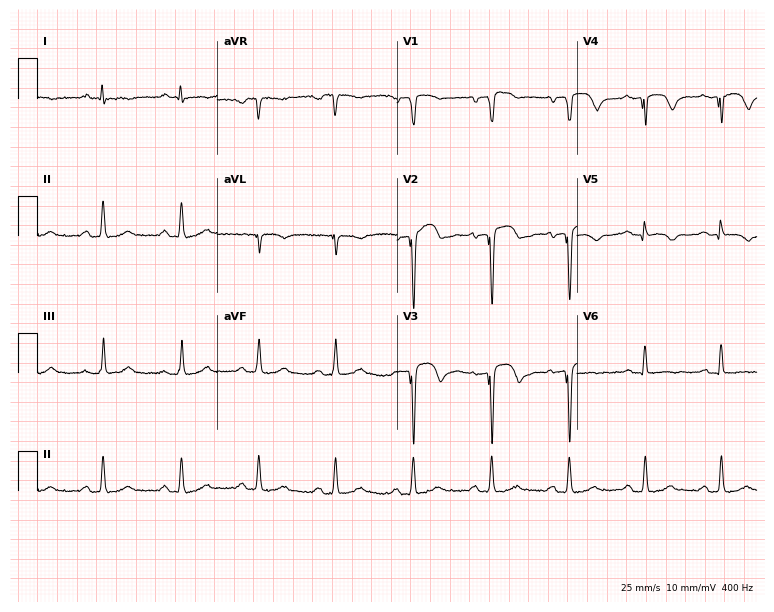
ECG (7.3-second recording at 400 Hz) — a 70-year-old male patient. Screened for six findings — first-degree AV block, right bundle branch block (RBBB), left bundle branch block (LBBB), sinus bradycardia, atrial fibrillation (AF), sinus tachycardia — none is recorded. Other findings, if any, are not listed.